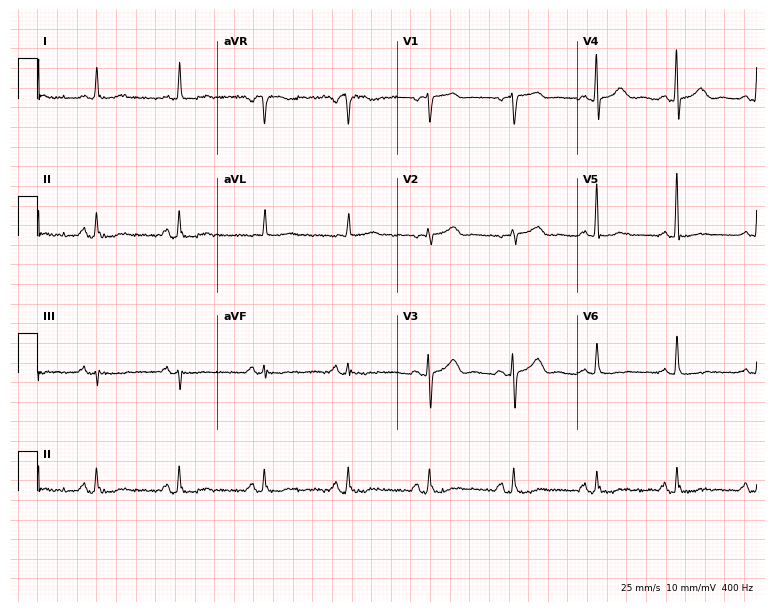
Standard 12-lead ECG recorded from a woman, 78 years old. None of these six findings is recorded: first-degree AV block, right bundle branch block (RBBB), left bundle branch block (LBBB), sinus bradycardia, atrial fibrillation (AF), sinus tachycardia. Other findings, if any, are not listed.